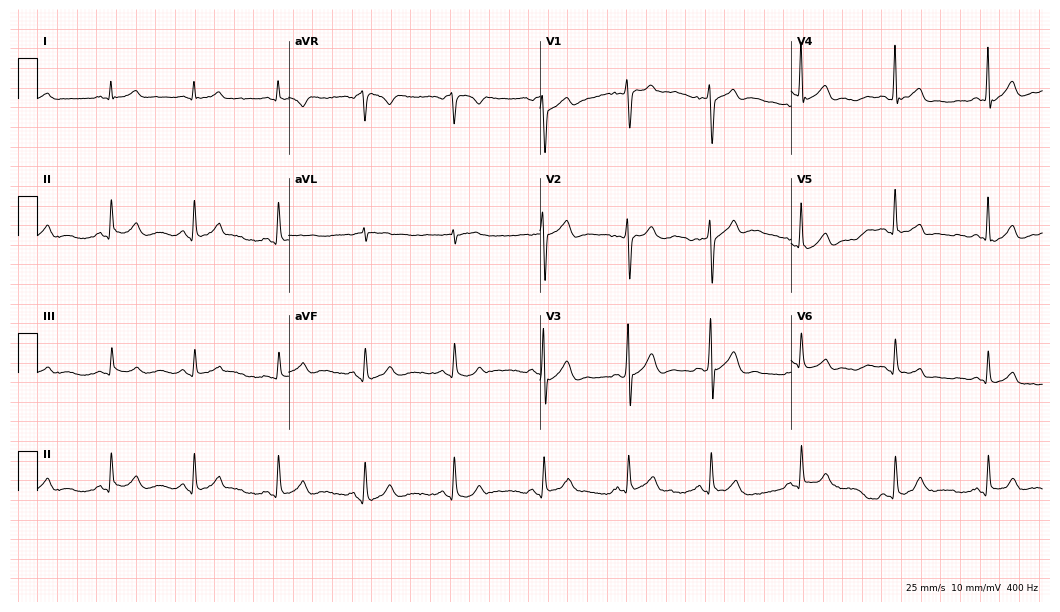
12-lead ECG (10.2-second recording at 400 Hz) from a male patient, 27 years old. Labelled as a normal ECG.